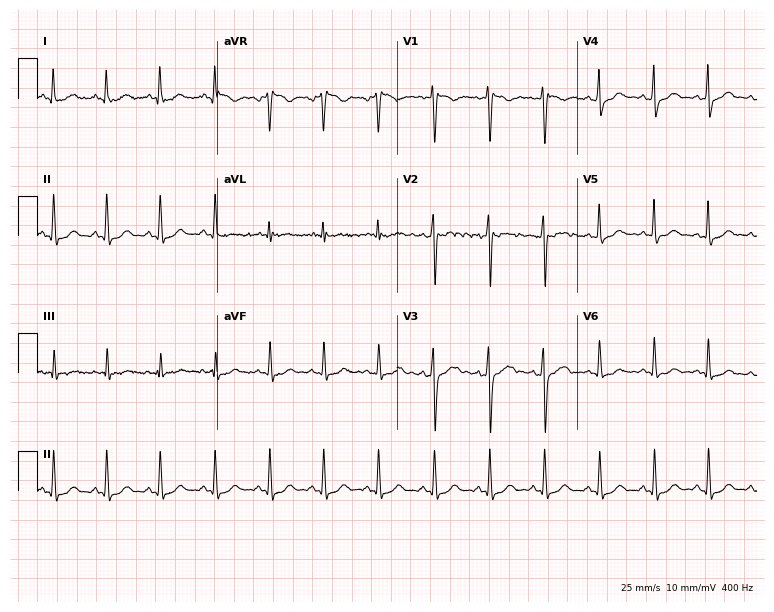
Standard 12-lead ECG recorded from a 25-year-old female. None of these six findings is recorded: first-degree AV block, right bundle branch block (RBBB), left bundle branch block (LBBB), sinus bradycardia, atrial fibrillation (AF), sinus tachycardia. Findings outside these six are not listed.